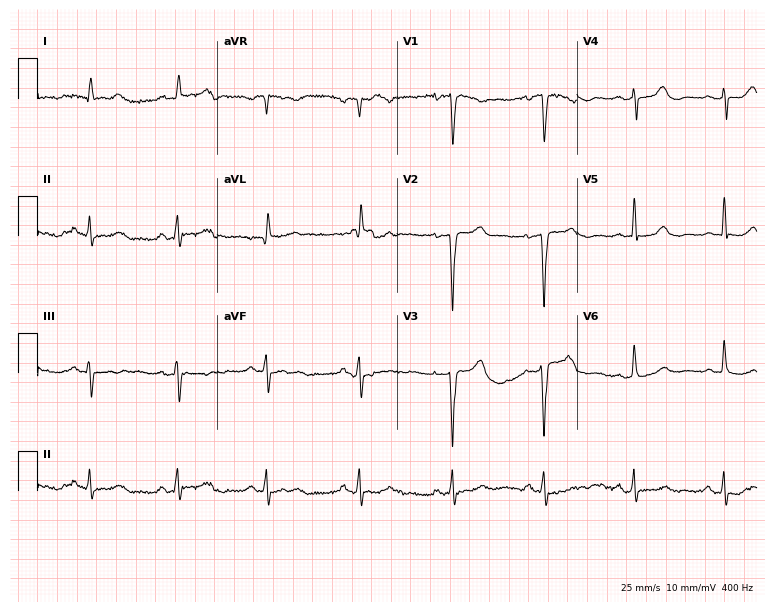
Standard 12-lead ECG recorded from a 47-year-old male. None of these six findings is recorded: first-degree AV block, right bundle branch block, left bundle branch block, sinus bradycardia, atrial fibrillation, sinus tachycardia.